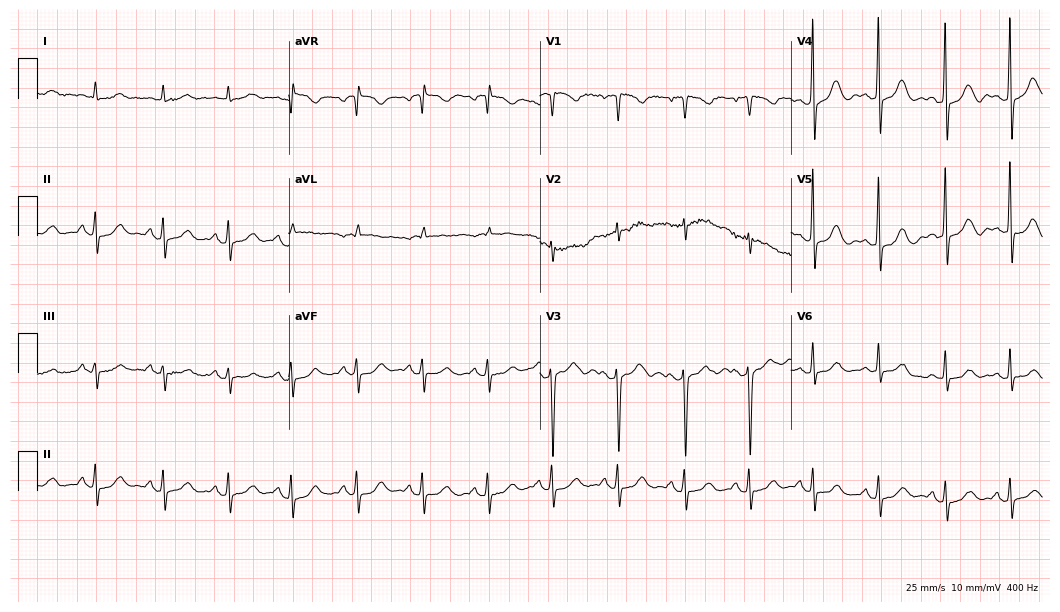
12-lead ECG (10.2-second recording at 400 Hz) from a female, 56 years old. Labelled as a normal ECG.